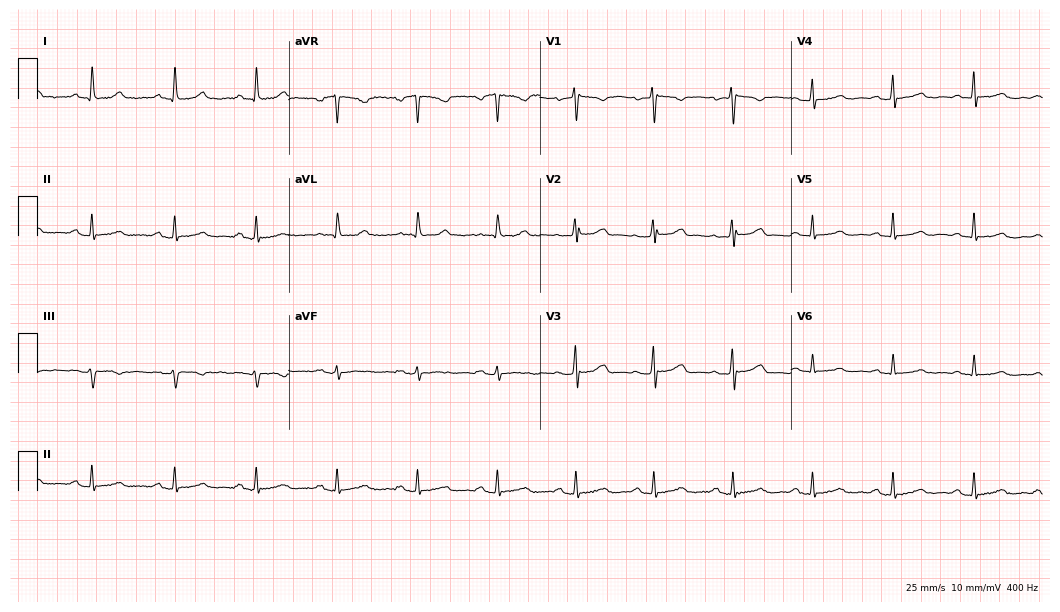
Standard 12-lead ECG recorded from a woman, 54 years old. None of these six findings is recorded: first-degree AV block, right bundle branch block, left bundle branch block, sinus bradycardia, atrial fibrillation, sinus tachycardia. Other findings, if any, are not listed.